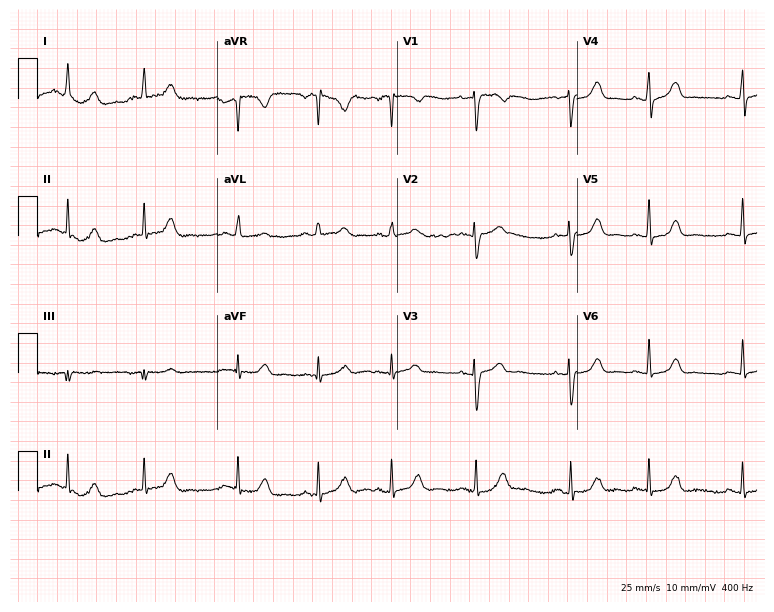
ECG (7.3-second recording at 400 Hz) — a 19-year-old woman. Labelled as a normal ECG.